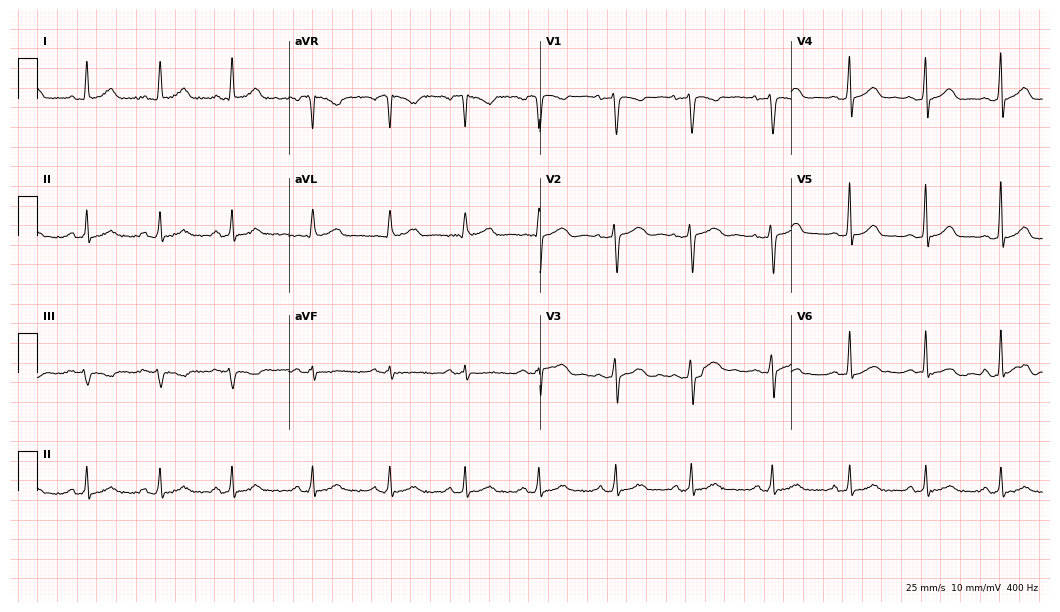
ECG — a female patient, 34 years old. Labelled as a normal ECG.